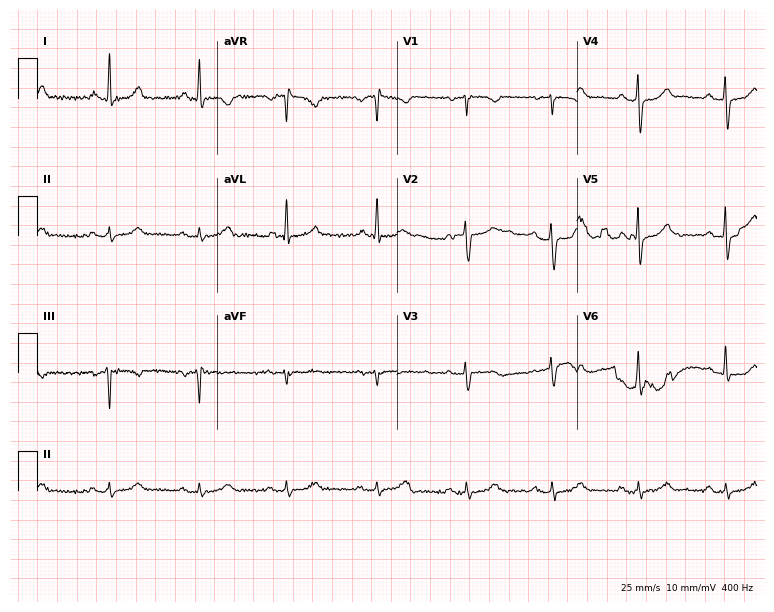
12-lead ECG (7.3-second recording at 400 Hz) from a 54-year-old female patient. Screened for six findings — first-degree AV block, right bundle branch block, left bundle branch block, sinus bradycardia, atrial fibrillation, sinus tachycardia — none is recorded. Findings outside these six are not listed.